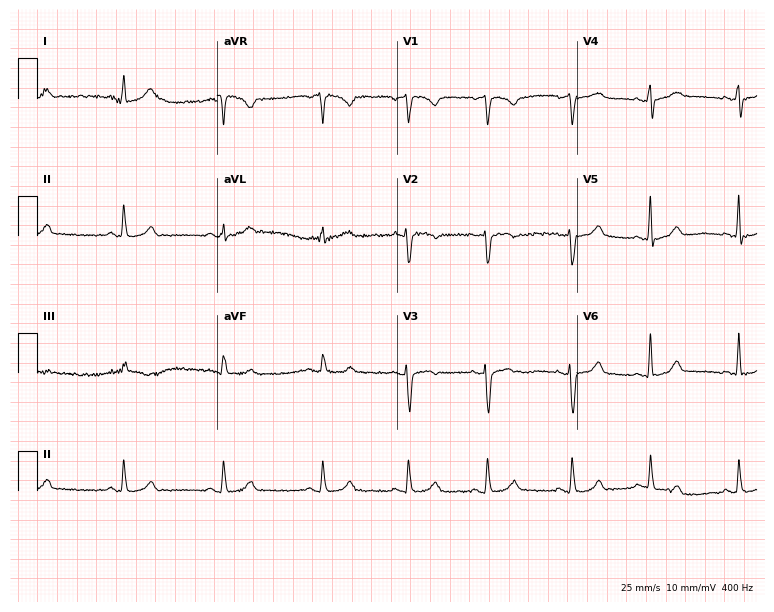
Standard 12-lead ECG recorded from a 46-year-old woman (7.3-second recording at 400 Hz). Read as a normal ECG.